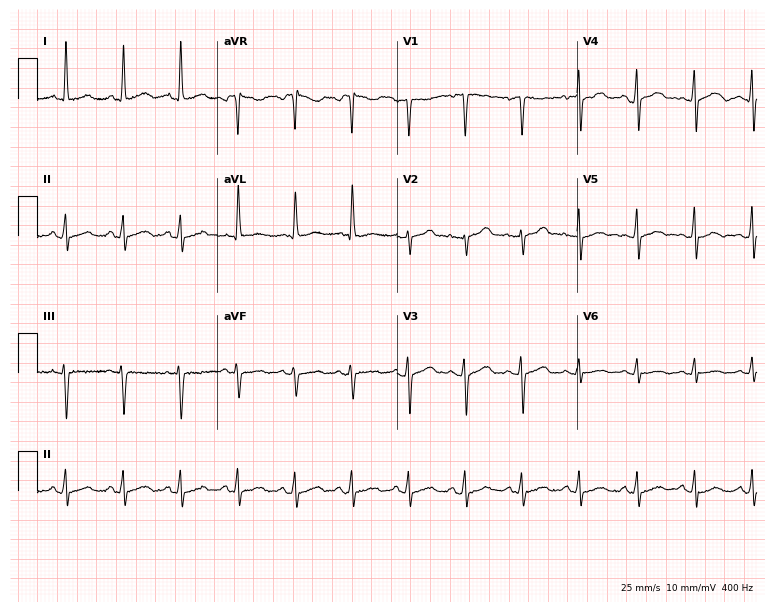
Electrocardiogram (7.3-second recording at 400 Hz), a 53-year-old woman. Interpretation includes sinus tachycardia (a sinus rate of 100 beats per minute or more).